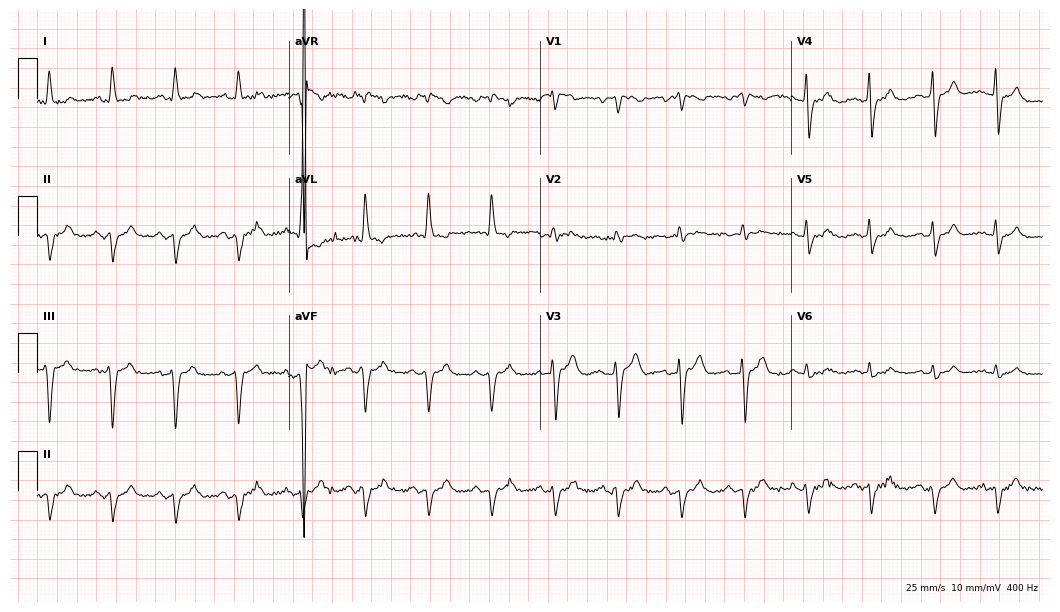
Resting 12-lead electrocardiogram. Patient: a 55-year-old female. None of these six findings is recorded: first-degree AV block, right bundle branch block (RBBB), left bundle branch block (LBBB), sinus bradycardia, atrial fibrillation (AF), sinus tachycardia.